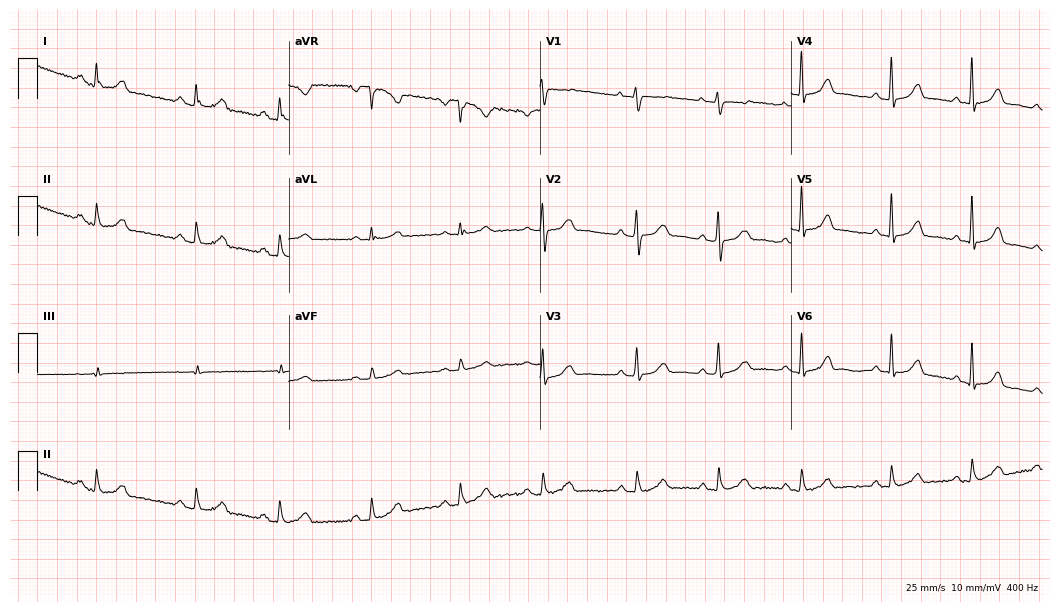
ECG (10.2-second recording at 400 Hz) — a female, 32 years old. Labelled as a normal ECG.